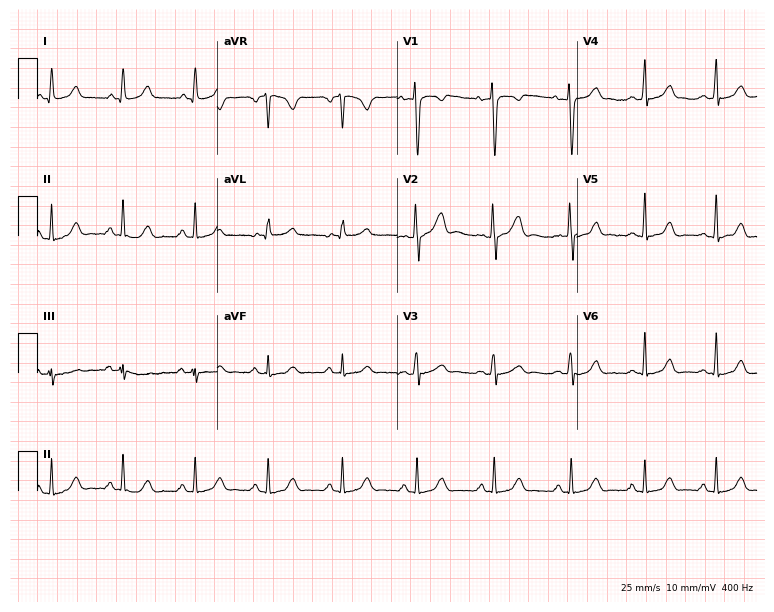
12-lead ECG (7.3-second recording at 400 Hz) from a 20-year-old female patient. Labelled as a normal ECG.